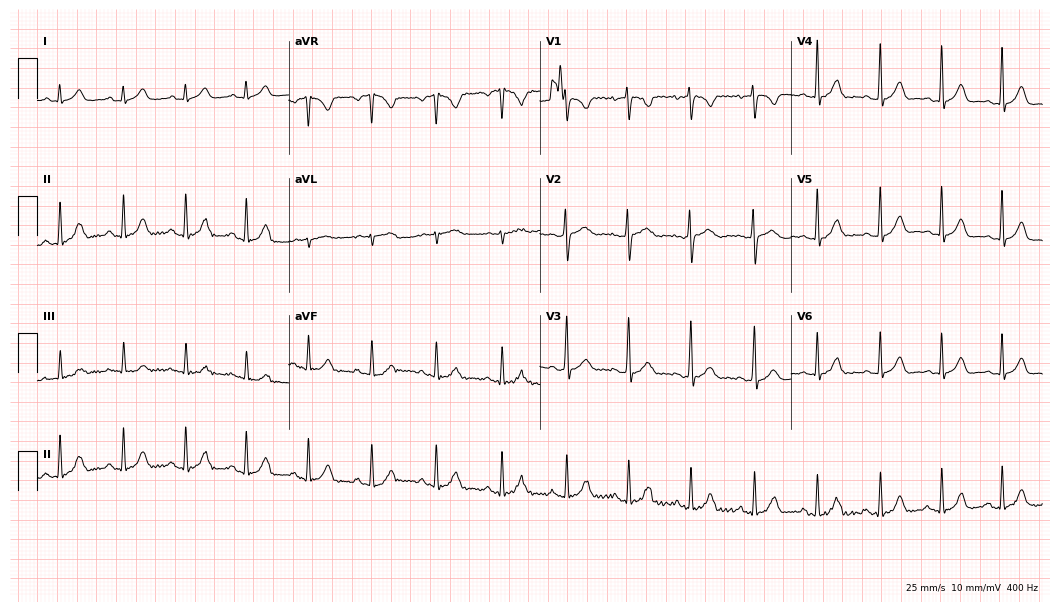
12-lead ECG from a 28-year-old female. Recorded interpretation: within normal limits.